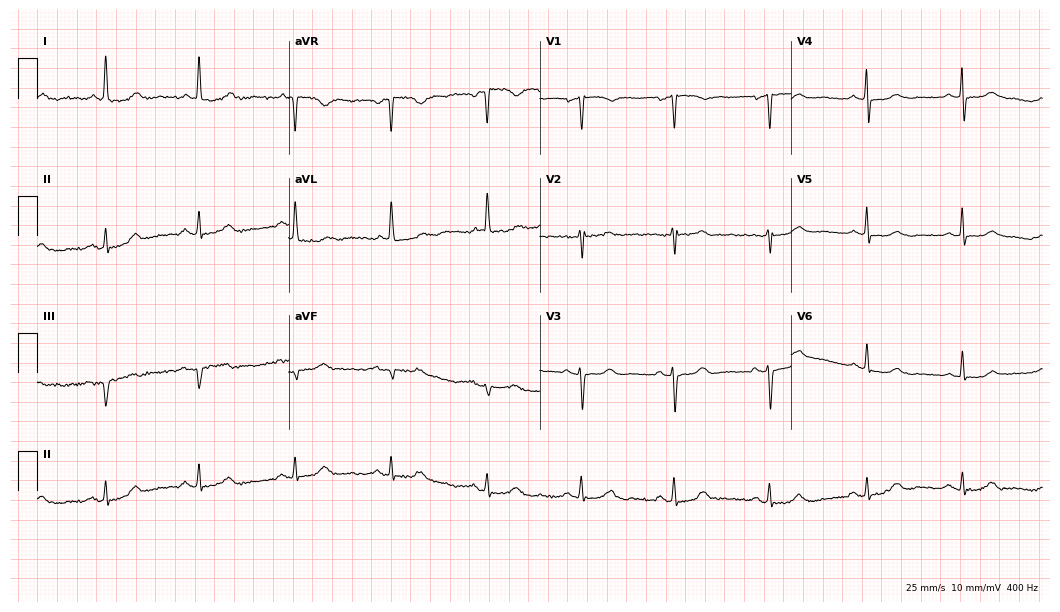
ECG (10.2-second recording at 400 Hz) — an 85-year-old female patient. Screened for six findings — first-degree AV block, right bundle branch block (RBBB), left bundle branch block (LBBB), sinus bradycardia, atrial fibrillation (AF), sinus tachycardia — none is recorded. Findings outside these six are not listed.